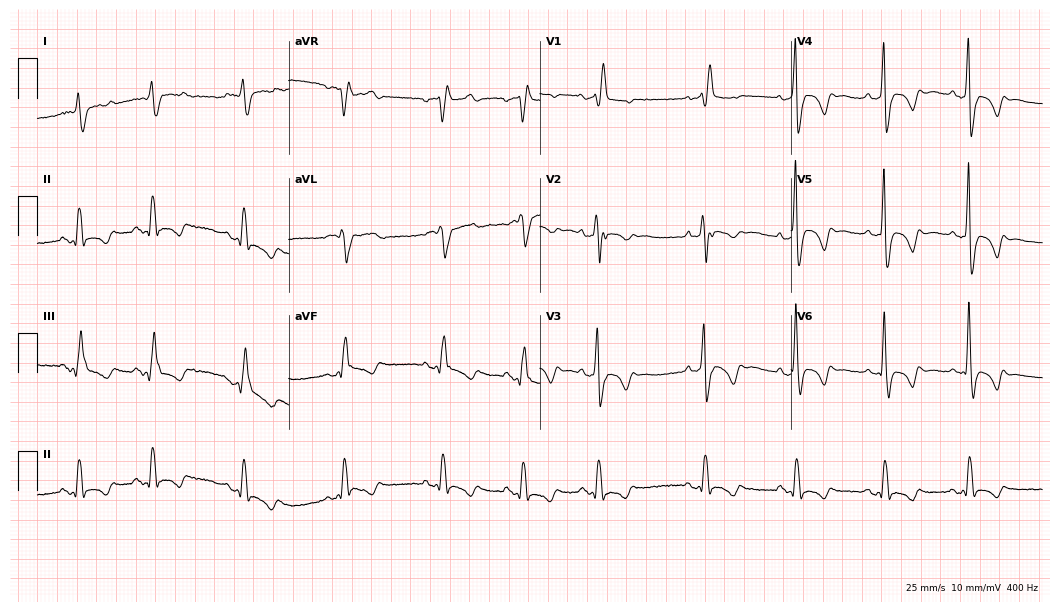
Standard 12-lead ECG recorded from a 58-year-old female. None of these six findings is recorded: first-degree AV block, right bundle branch block (RBBB), left bundle branch block (LBBB), sinus bradycardia, atrial fibrillation (AF), sinus tachycardia.